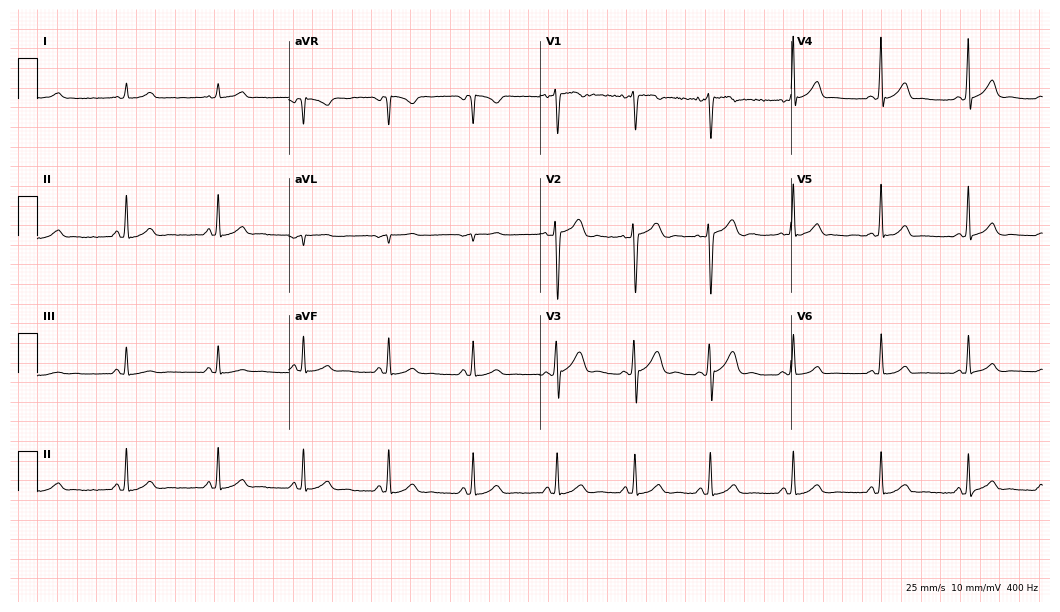
Resting 12-lead electrocardiogram (10.2-second recording at 400 Hz). Patient: a woman, 25 years old. Read as a normal ECG.